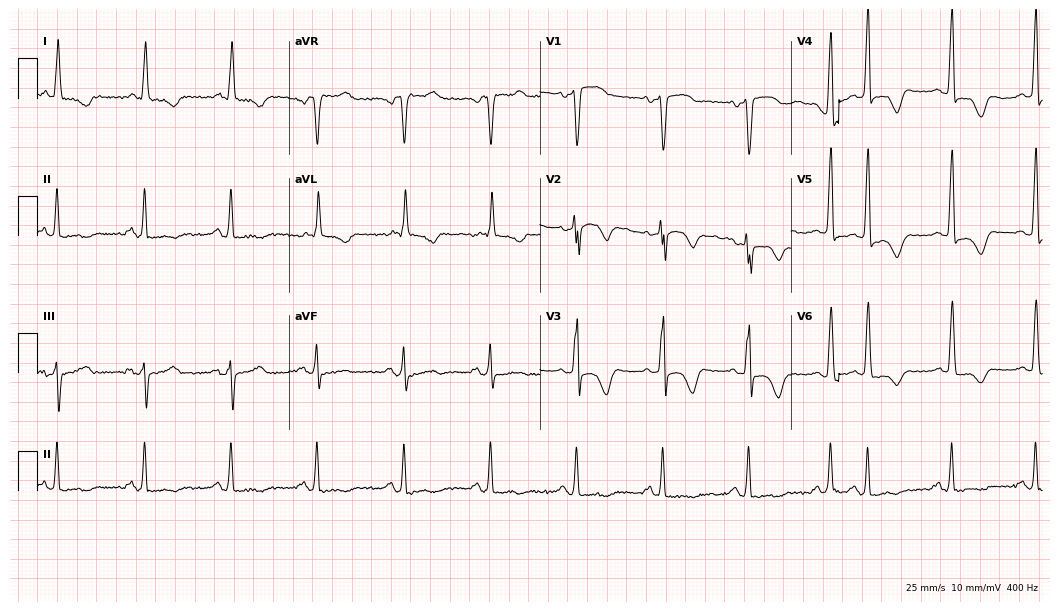
12-lead ECG from a male patient, 71 years old. No first-degree AV block, right bundle branch block (RBBB), left bundle branch block (LBBB), sinus bradycardia, atrial fibrillation (AF) or sinus tachycardia recorded for this tracing. Other findings, if any, are not listed.